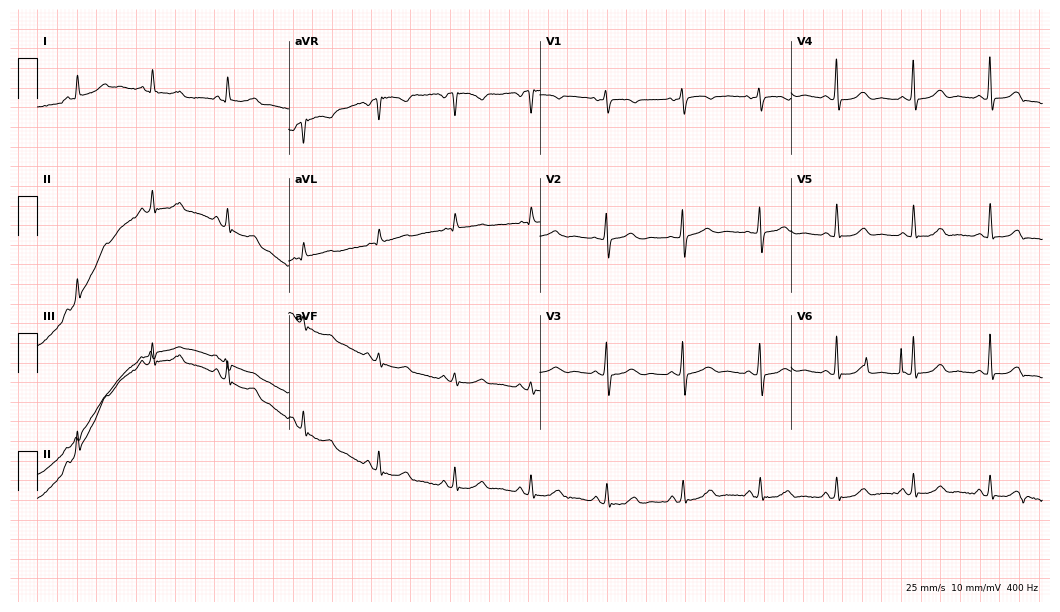
12-lead ECG from a 77-year-old female (10.2-second recording at 400 Hz). Recorded interpretation: within normal limits.